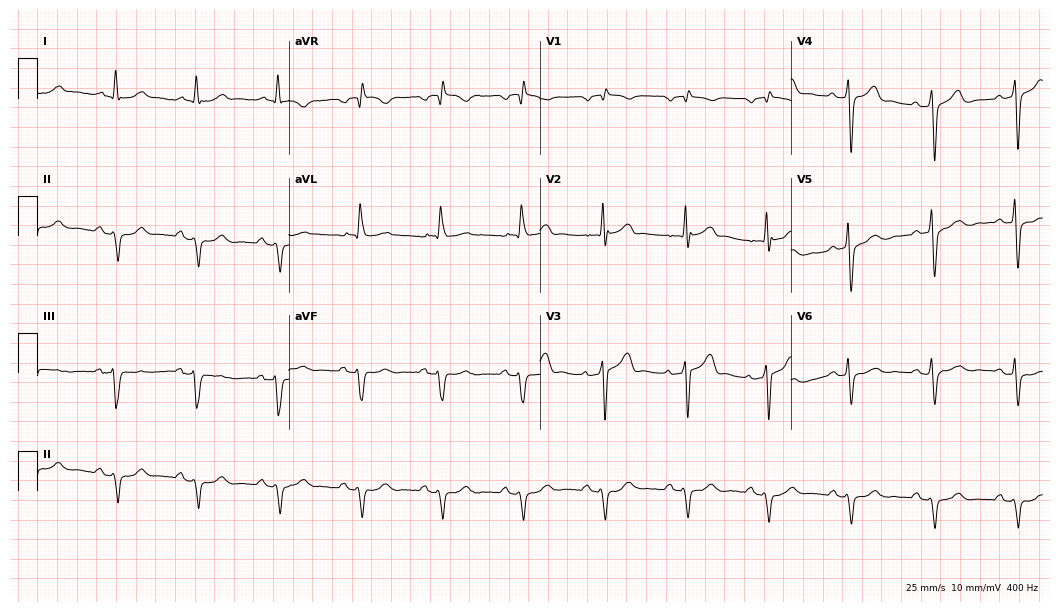
Standard 12-lead ECG recorded from a man, 69 years old (10.2-second recording at 400 Hz). None of these six findings is recorded: first-degree AV block, right bundle branch block, left bundle branch block, sinus bradycardia, atrial fibrillation, sinus tachycardia. Other findings, if any, are not listed.